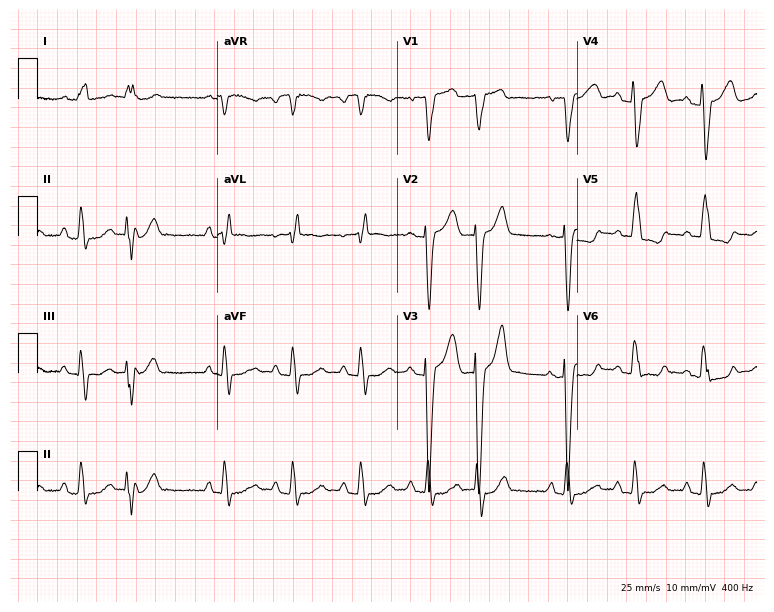
Electrocardiogram (7.3-second recording at 400 Hz), a 55-year-old female patient. Of the six screened findings (first-degree AV block, right bundle branch block (RBBB), left bundle branch block (LBBB), sinus bradycardia, atrial fibrillation (AF), sinus tachycardia), none is recorded.